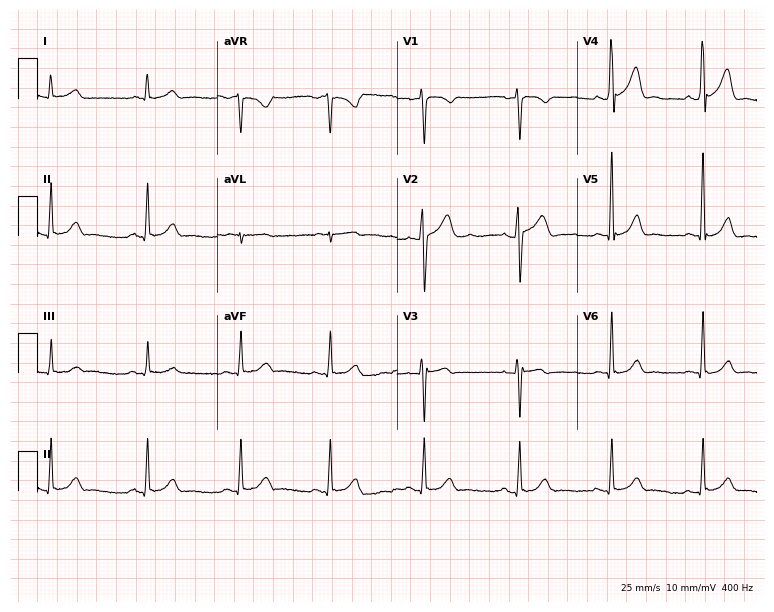
12-lead ECG from a man, 41 years old. Screened for six findings — first-degree AV block, right bundle branch block, left bundle branch block, sinus bradycardia, atrial fibrillation, sinus tachycardia — none is recorded. Findings outside these six are not listed.